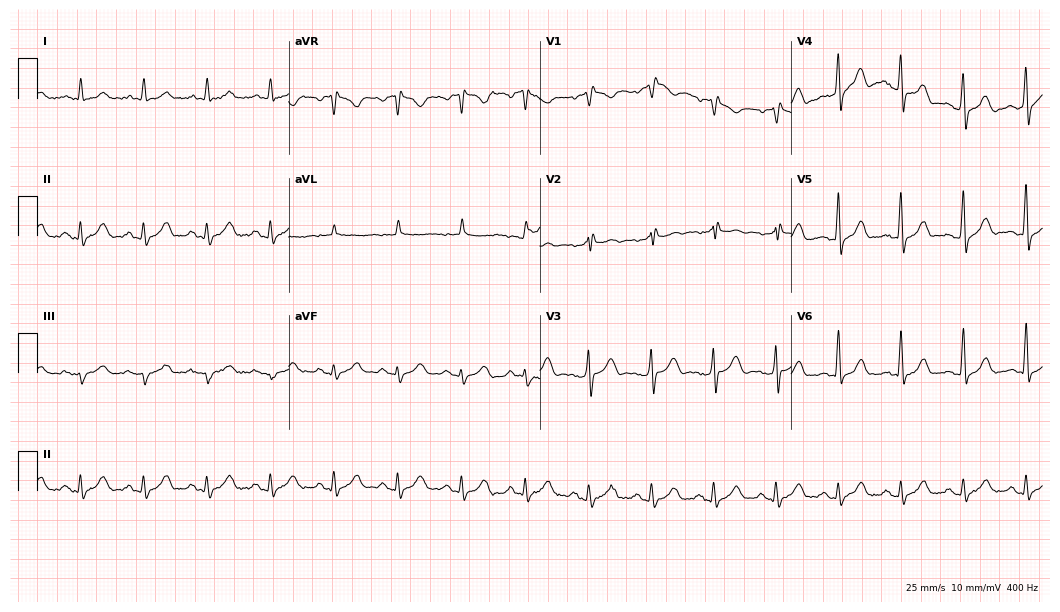
12-lead ECG from a 48-year-old male (10.2-second recording at 400 Hz). No first-degree AV block, right bundle branch block, left bundle branch block, sinus bradycardia, atrial fibrillation or sinus tachycardia recorded for this tracing. Other findings, if any, are not listed.